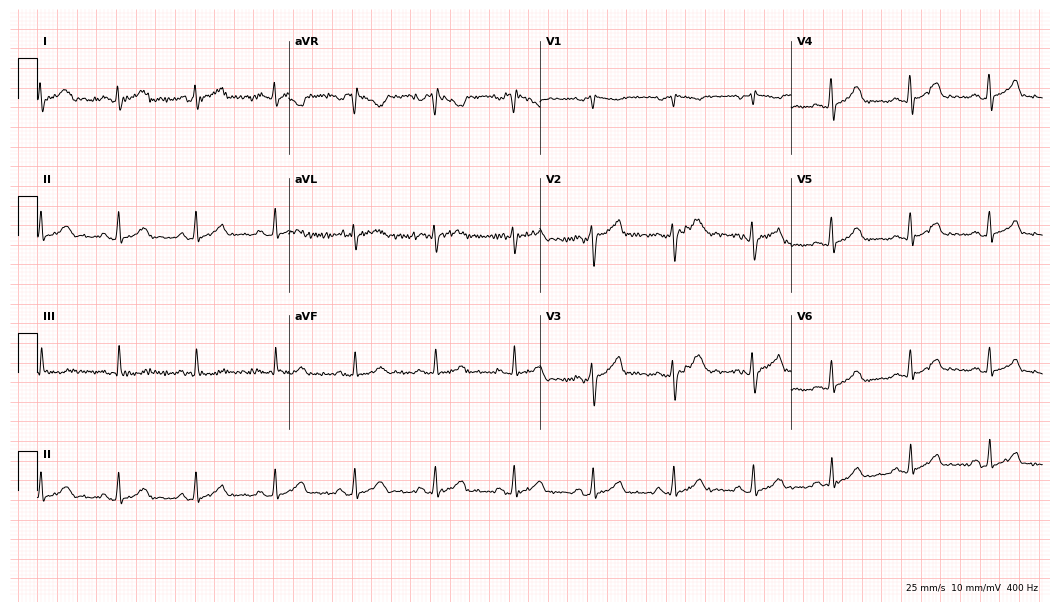
ECG (10.2-second recording at 400 Hz) — a 49-year-old female patient. Labelled as a normal ECG.